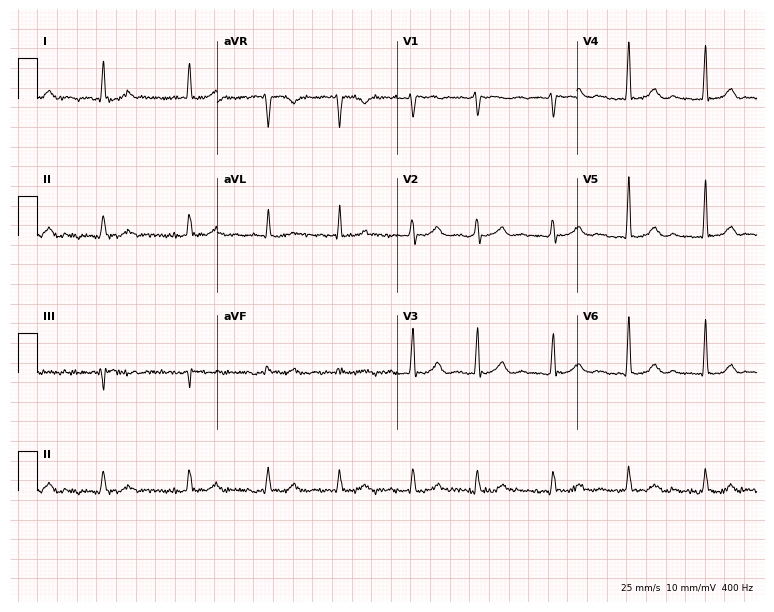
12-lead ECG from a 77-year-old man (7.3-second recording at 400 Hz). Shows atrial fibrillation.